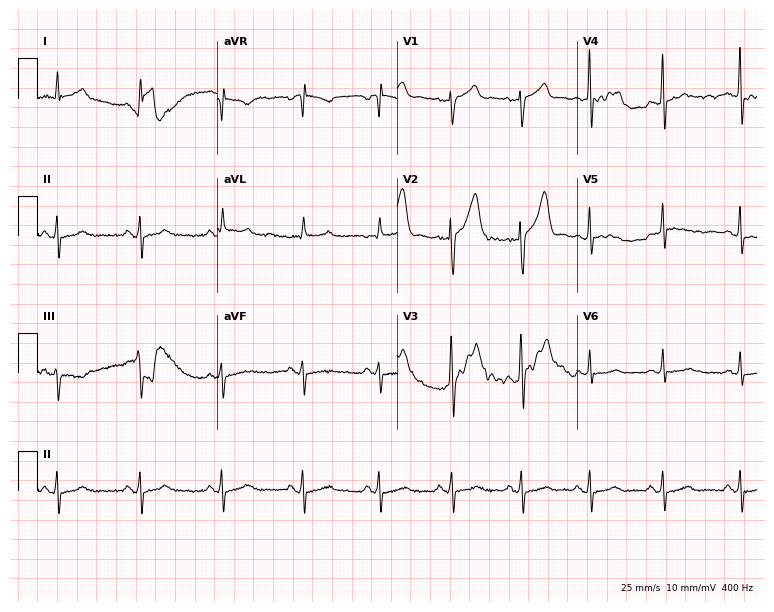
Resting 12-lead electrocardiogram. Patient: a 57-year-old male. Read as a normal ECG.